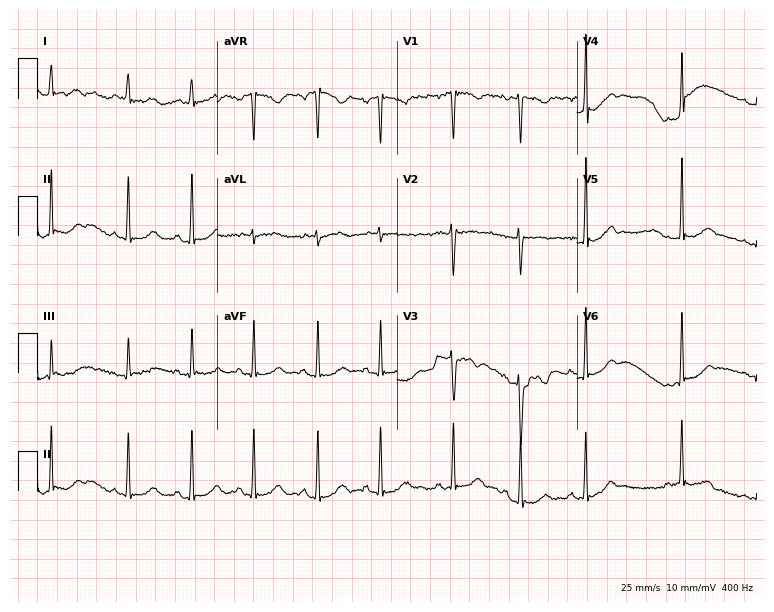
12-lead ECG from a female, 18 years old. Screened for six findings — first-degree AV block, right bundle branch block, left bundle branch block, sinus bradycardia, atrial fibrillation, sinus tachycardia — none is recorded. Only these six findings were labelled.